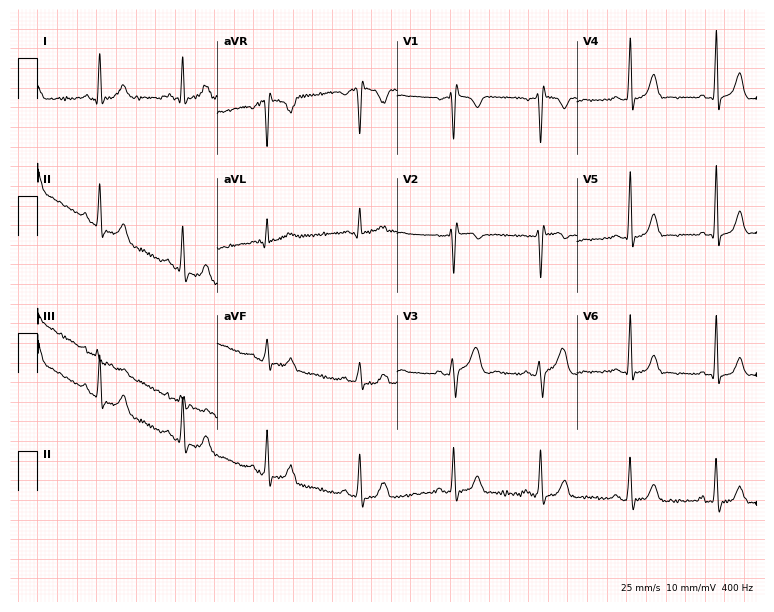
ECG (7.3-second recording at 400 Hz) — a female patient, 21 years old. Screened for six findings — first-degree AV block, right bundle branch block (RBBB), left bundle branch block (LBBB), sinus bradycardia, atrial fibrillation (AF), sinus tachycardia — none is recorded.